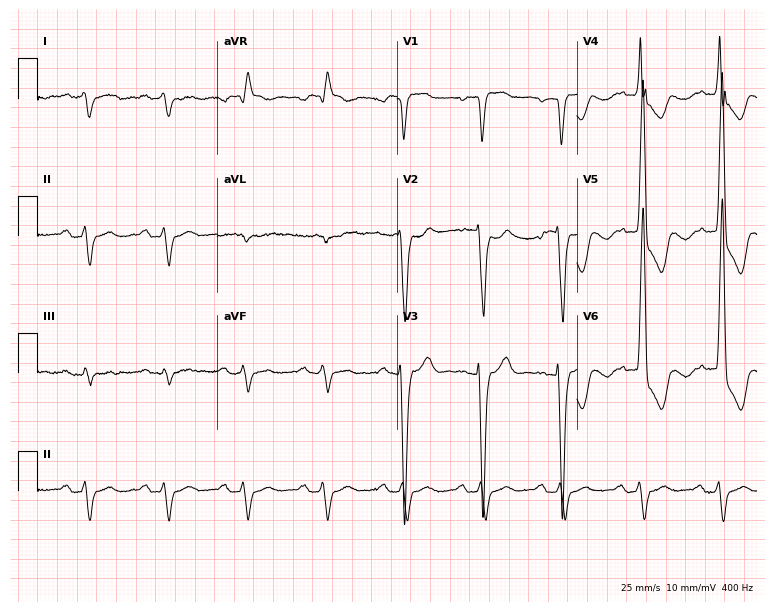
Standard 12-lead ECG recorded from a man, 81 years old (7.3-second recording at 400 Hz). The tracing shows first-degree AV block.